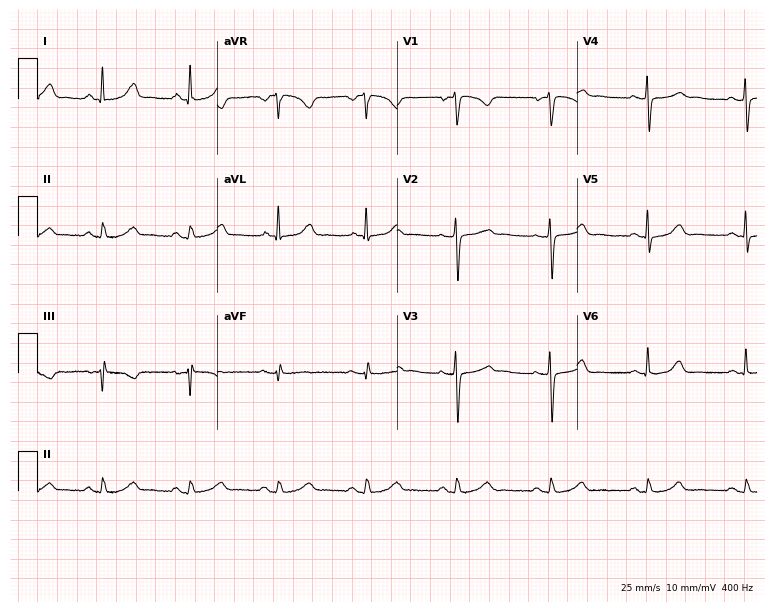
ECG — a female, 37 years old. Labelled as a normal ECG.